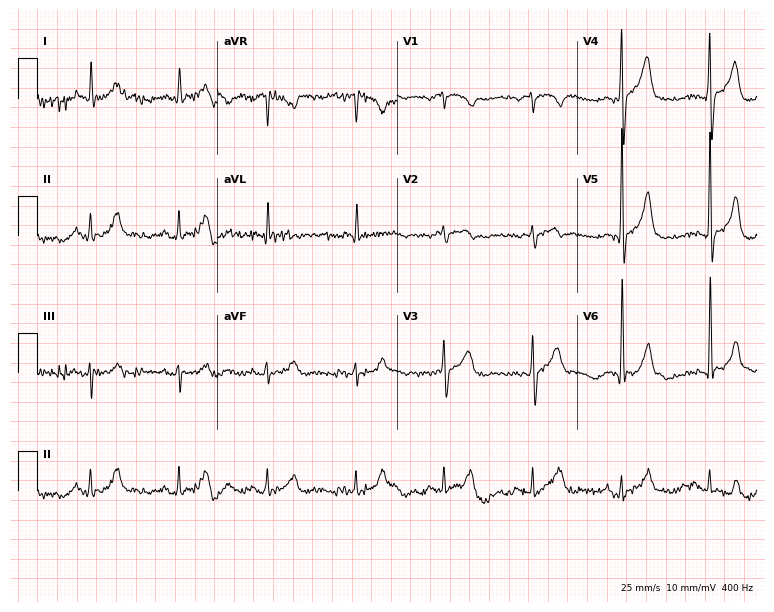
Standard 12-lead ECG recorded from an 80-year-old man. Read as a normal ECG.